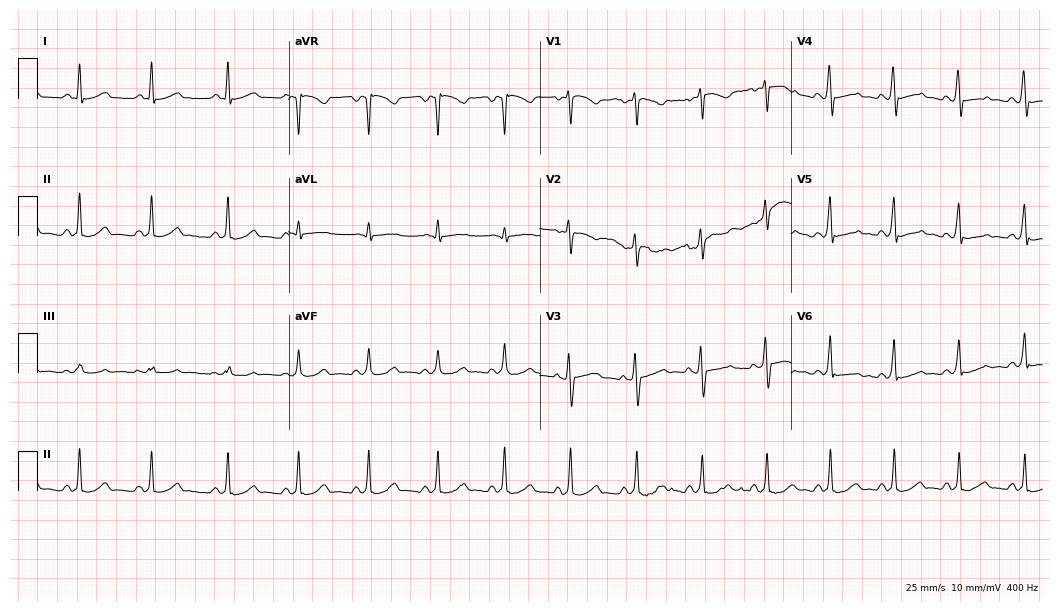
ECG (10.2-second recording at 400 Hz) — a female, 31 years old. Screened for six findings — first-degree AV block, right bundle branch block (RBBB), left bundle branch block (LBBB), sinus bradycardia, atrial fibrillation (AF), sinus tachycardia — none is recorded.